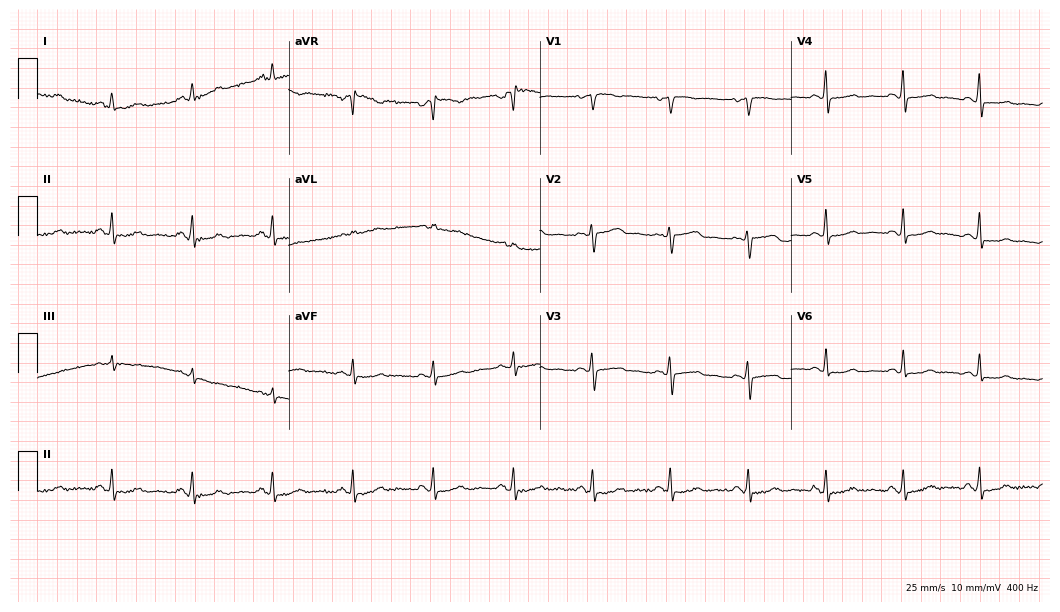
Electrocardiogram (10.2-second recording at 400 Hz), a female patient, 50 years old. Of the six screened findings (first-degree AV block, right bundle branch block (RBBB), left bundle branch block (LBBB), sinus bradycardia, atrial fibrillation (AF), sinus tachycardia), none is recorded. Findings outside these six are not listed.